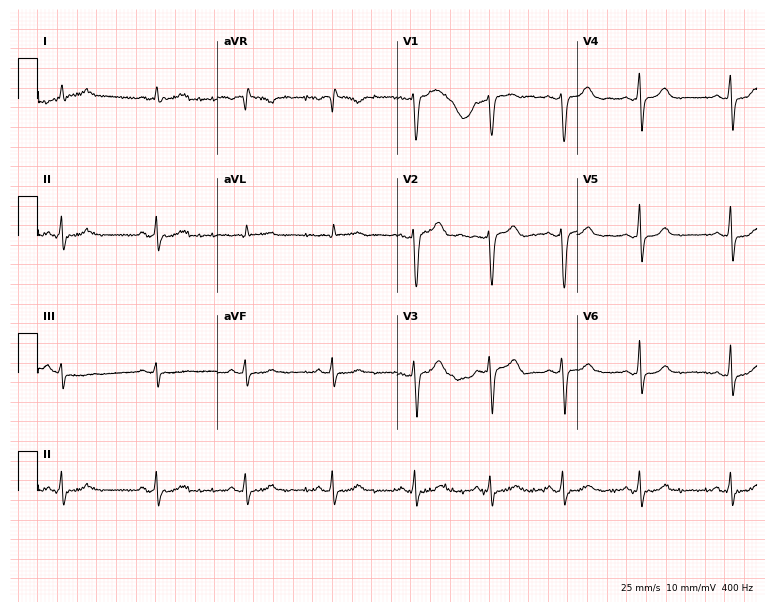
12-lead ECG from a woman, 44 years old (7.3-second recording at 400 Hz). Recorded interpretation: within normal limits.